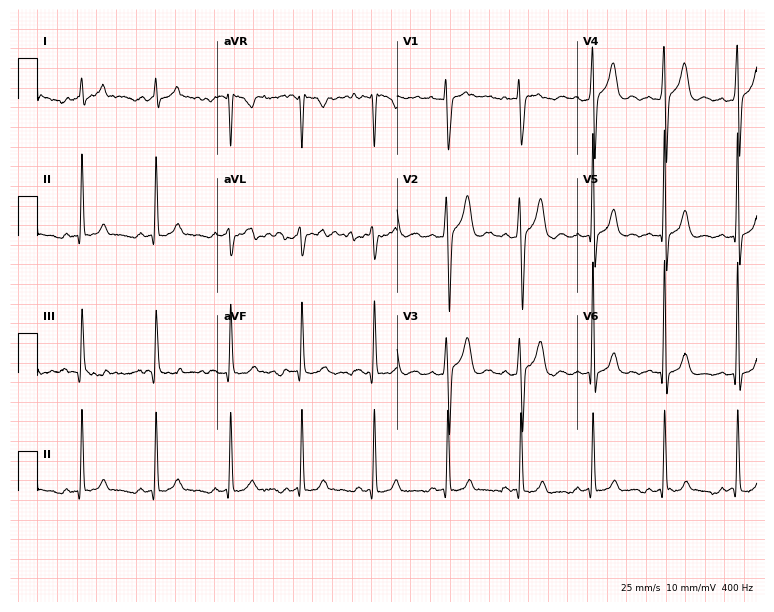
Resting 12-lead electrocardiogram. Patient: a 29-year-old man. None of these six findings is recorded: first-degree AV block, right bundle branch block (RBBB), left bundle branch block (LBBB), sinus bradycardia, atrial fibrillation (AF), sinus tachycardia.